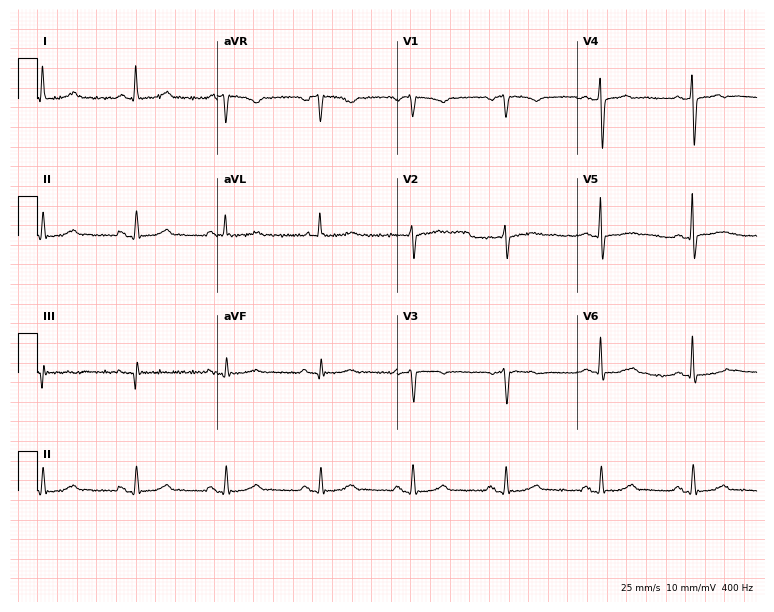
Resting 12-lead electrocardiogram (7.3-second recording at 400 Hz). Patient: a female, 78 years old. Read as a normal ECG.